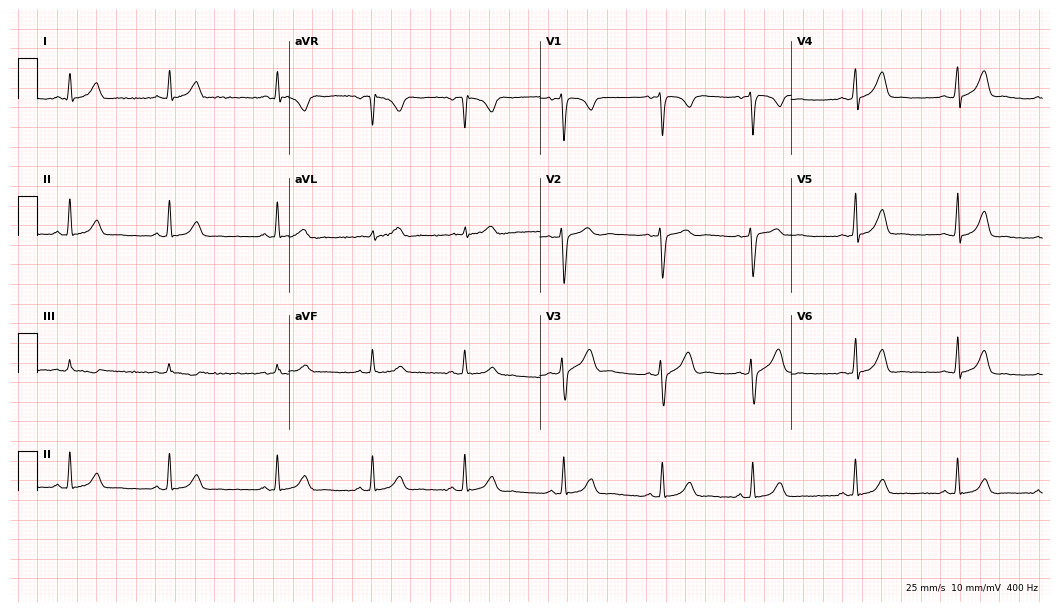
12-lead ECG (10.2-second recording at 400 Hz) from a female patient, 23 years old. Labelled as a normal ECG.